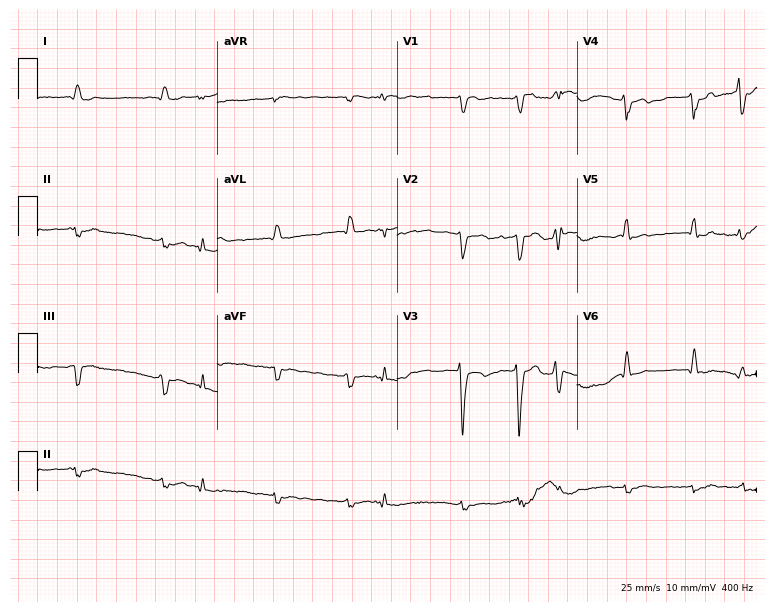
Resting 12-lead electrocardiogram. Patient: an 83-year-old male. The tracing shows atrial fibrillation (AF).